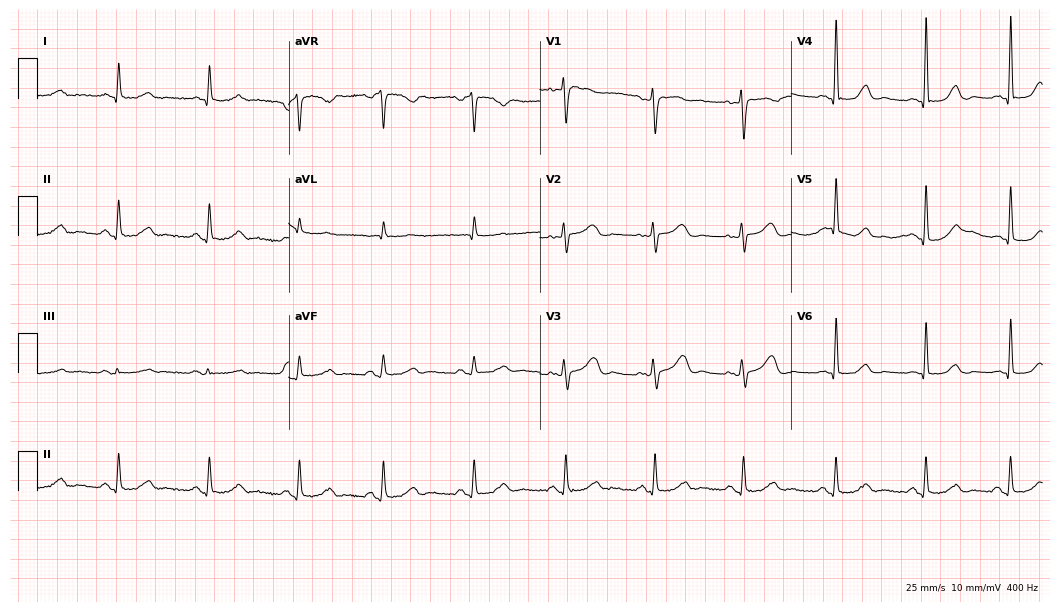
Standard 12-lead ECG recorded from a female patient, 75 years old. Read as a normal ECG.